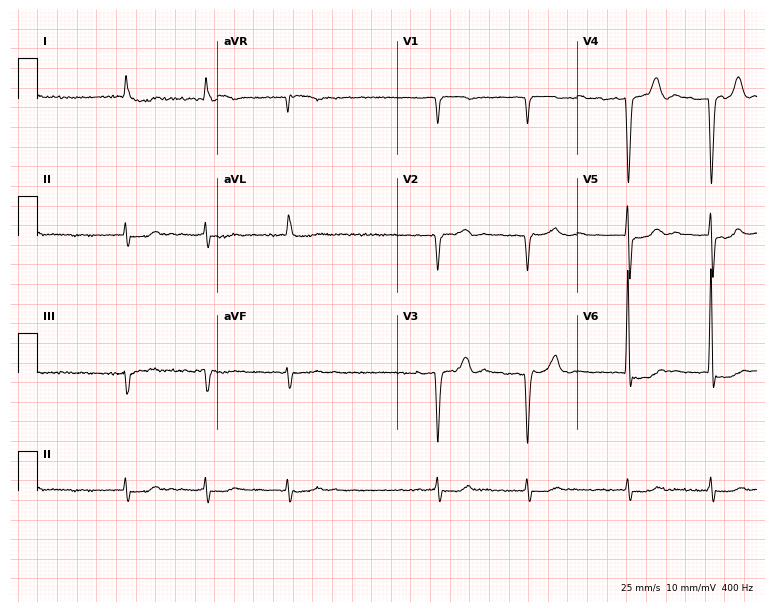
ECG (7.3-second recording at 400 Hz) — a male patient, 83 years old. Findings include atrial fibrillation.